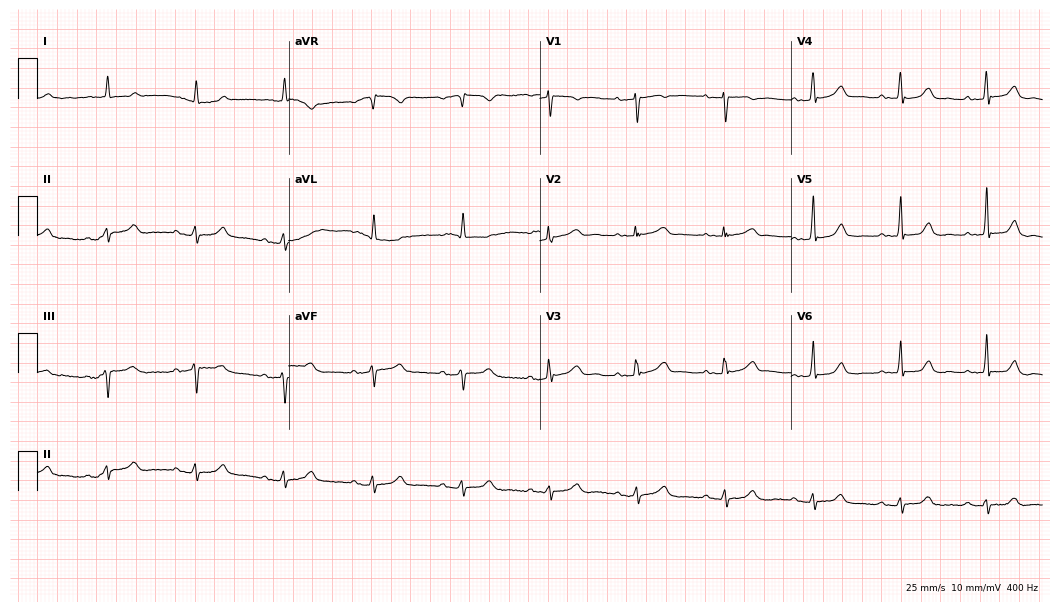
12-lead ECG (10.2-second recording at 400 Hz) from an 83-year-old female patient. Labelled as a normal ECG.